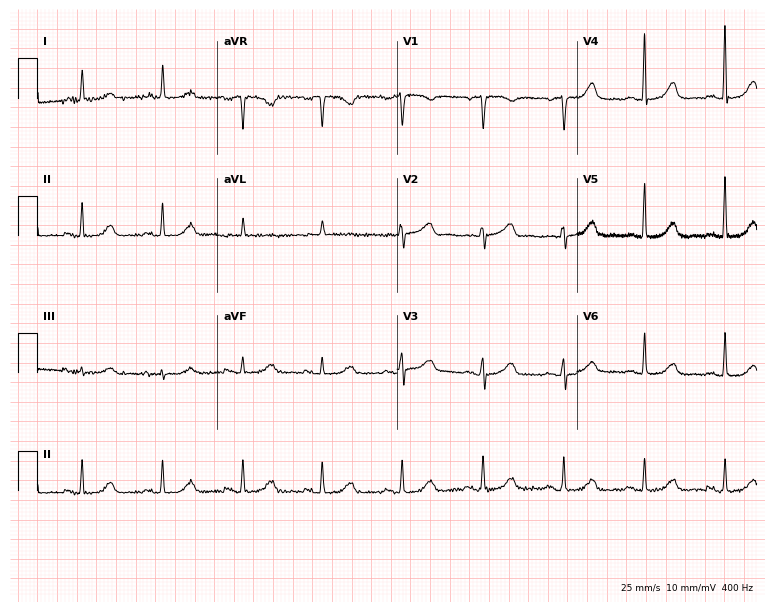
12-lead ECG from a 79-year-old female. Recorded interpretation: within normal limits.